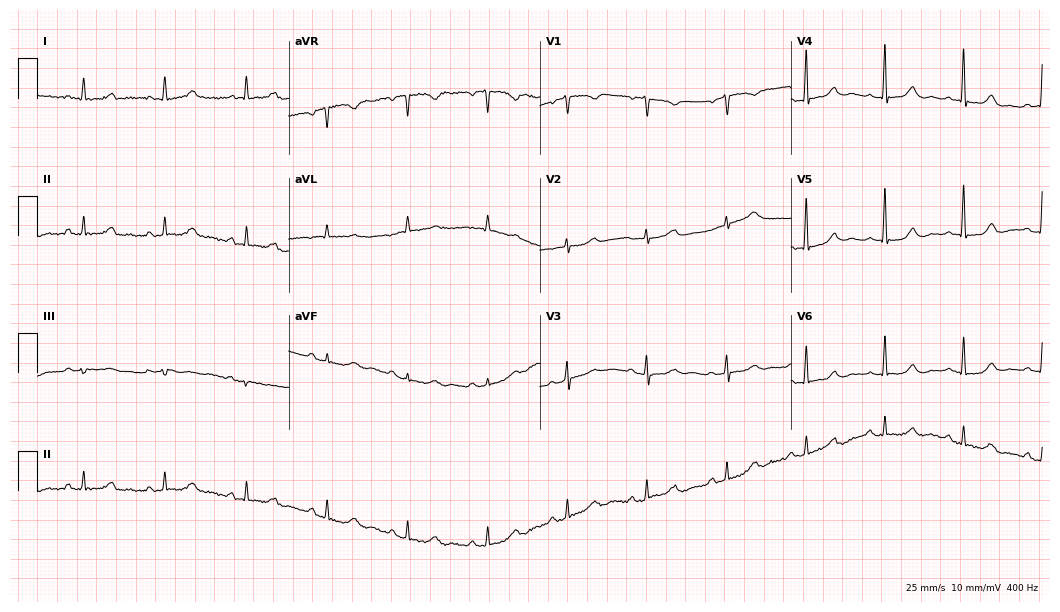
Electrocardiogram (10.2-second recording at 400 Hz), a female, 73 years old. Overall reading on record: normal ECG.